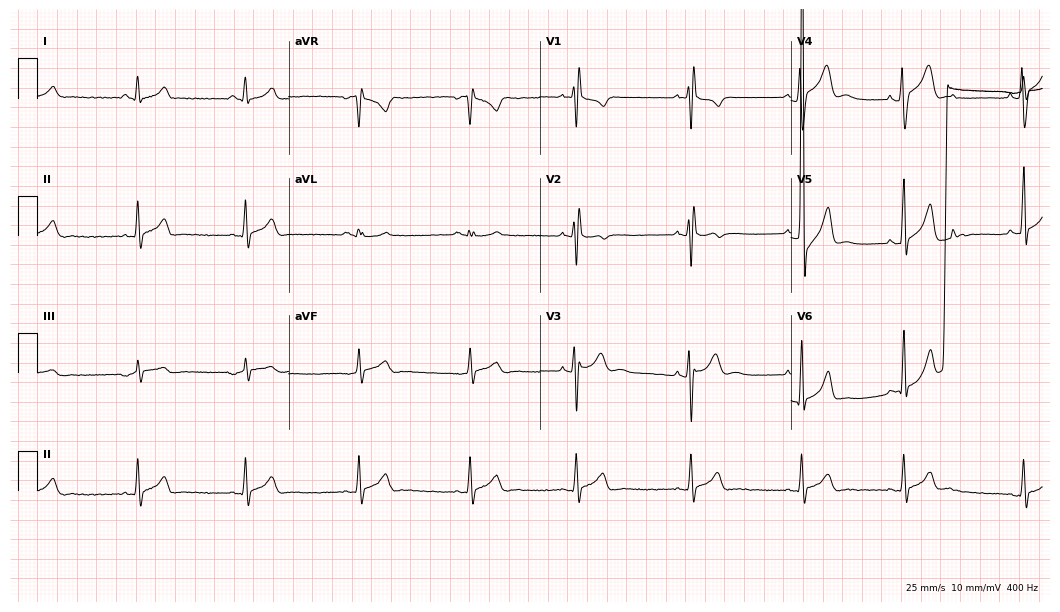
12-lead ECG from a 20-year-old man. No first-degree AV block, right bundle branch block (RBBB), left bundle branch block (LBBB), sinus bradycardia, atrial fibrillation (AF) or sinus tachycardia recorded for this tracing. Findings outside these six are not listed.